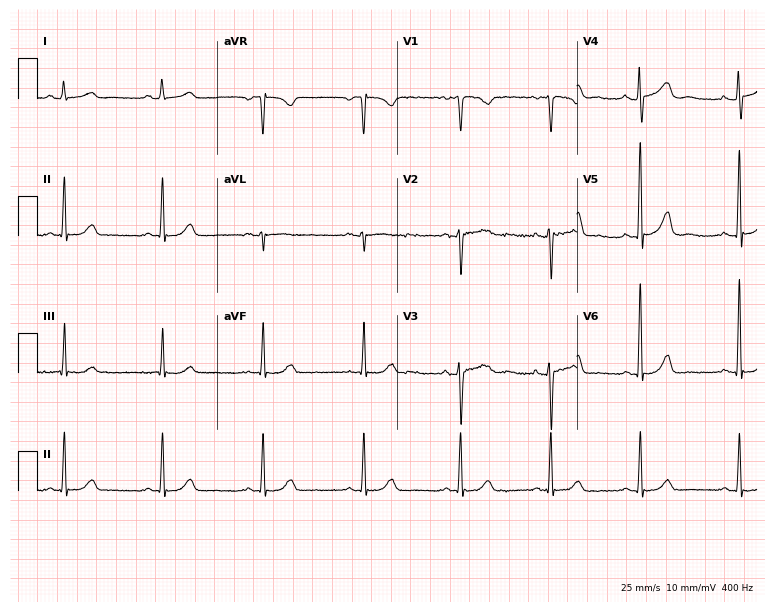
12-lead ECG from a 28-year-old woman. Recorded interpretation: within normal limits.